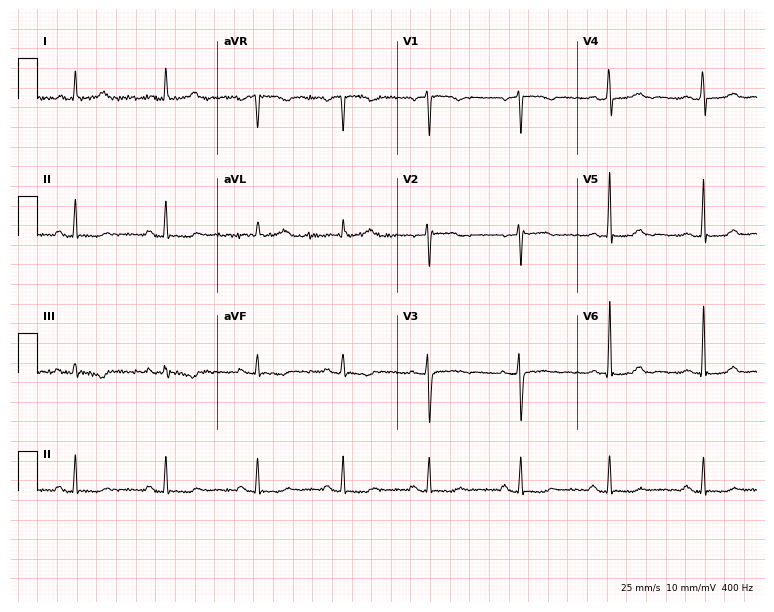
12-lead ECG from a female patient, 46 years old. Screened for six findings — first-degree AV block, right bundle branch block (RBBB), left bundle branch block (LBBB), sinus bradycardia, atrial fibrillation (AF), sinus tachycardia — none is recorded. Only these six findings were labelled.